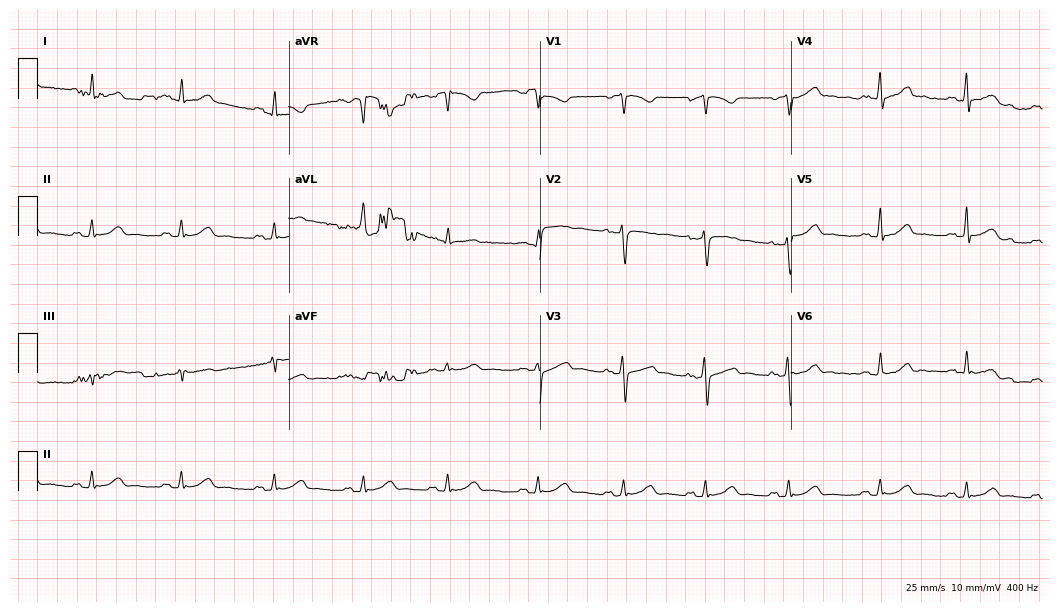
Electrocardiogram, a 38-year-old female patient. Overall reading on record: normal ECG.